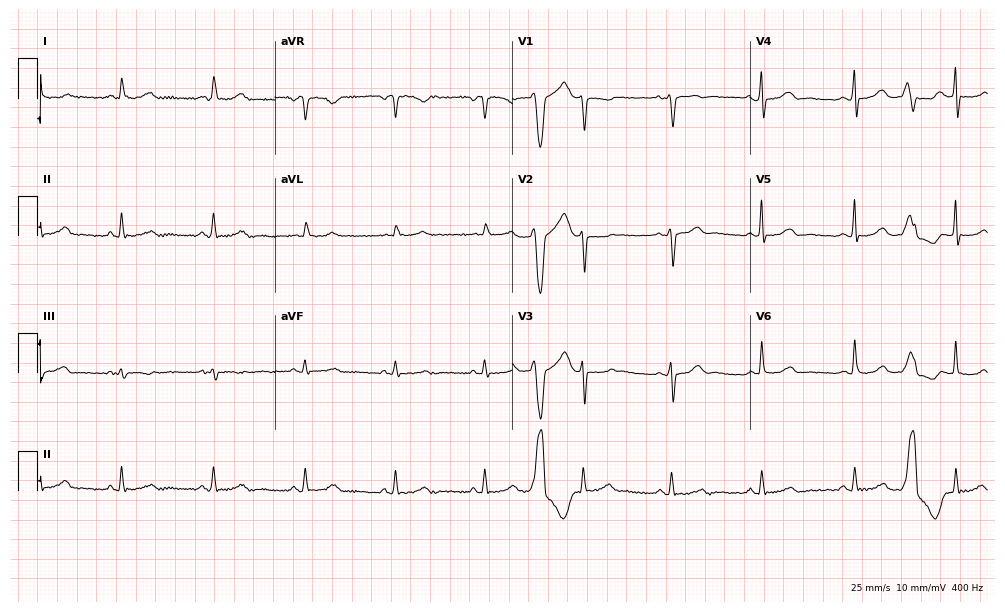
ECG — a 56-year-old female. Labelled as a normal ECG.